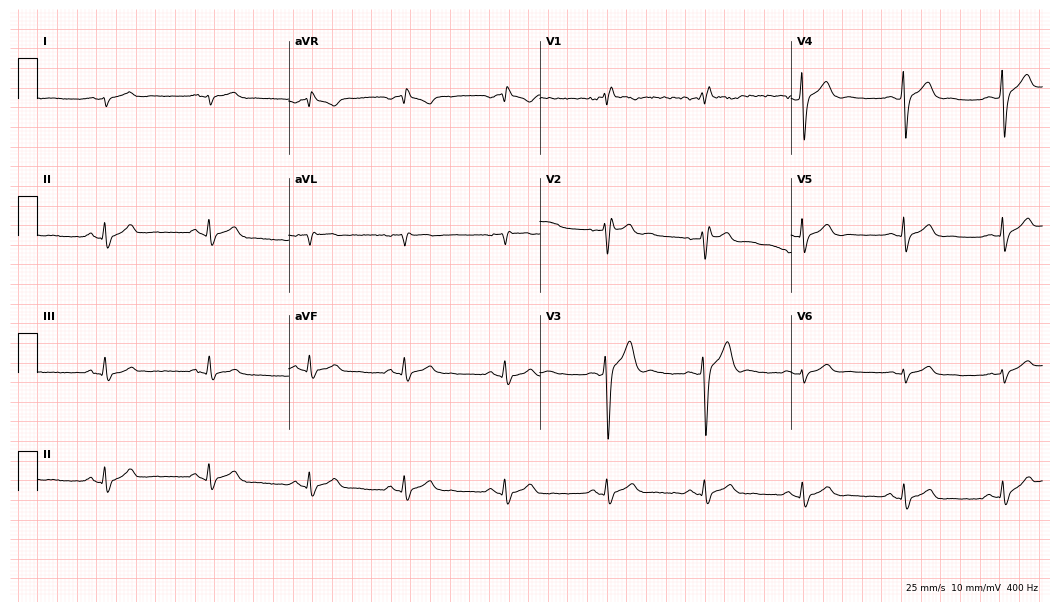
12-lead ECG from a male patient, 33 years old (10.2-second recording at 400 Hz). Shows right bundle branch block (RBBB).